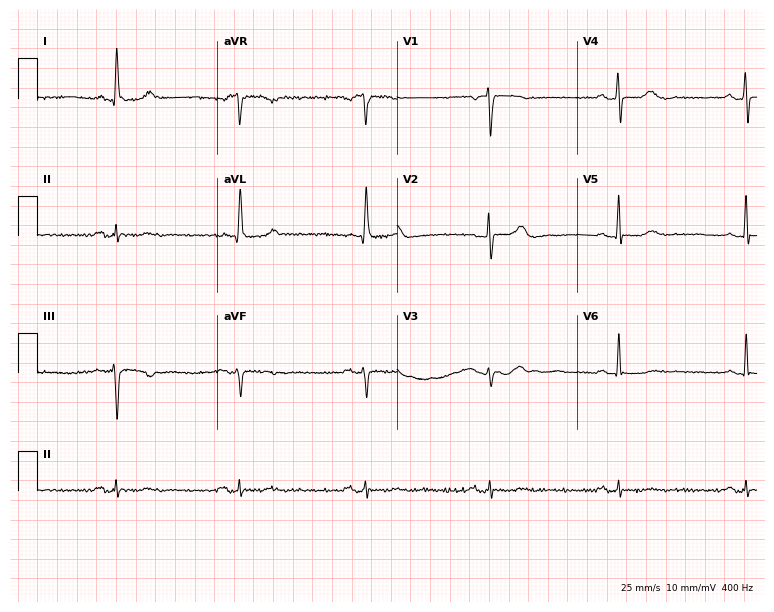
Electrocardiogram (7.3-second recording at 400 Hz), a woman, 72 years old. Interpretation includes sinus bradycardia (a sinus rate of 50 beats per minute or less).